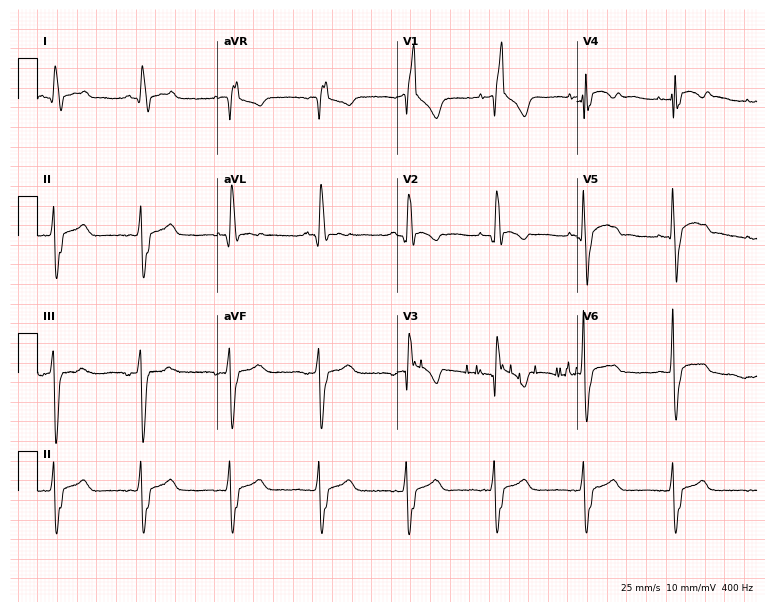
ECG (7.3-second recording at 400 Hz) — a 47-year-old male. Findings include right bundle branch block (RBBB).